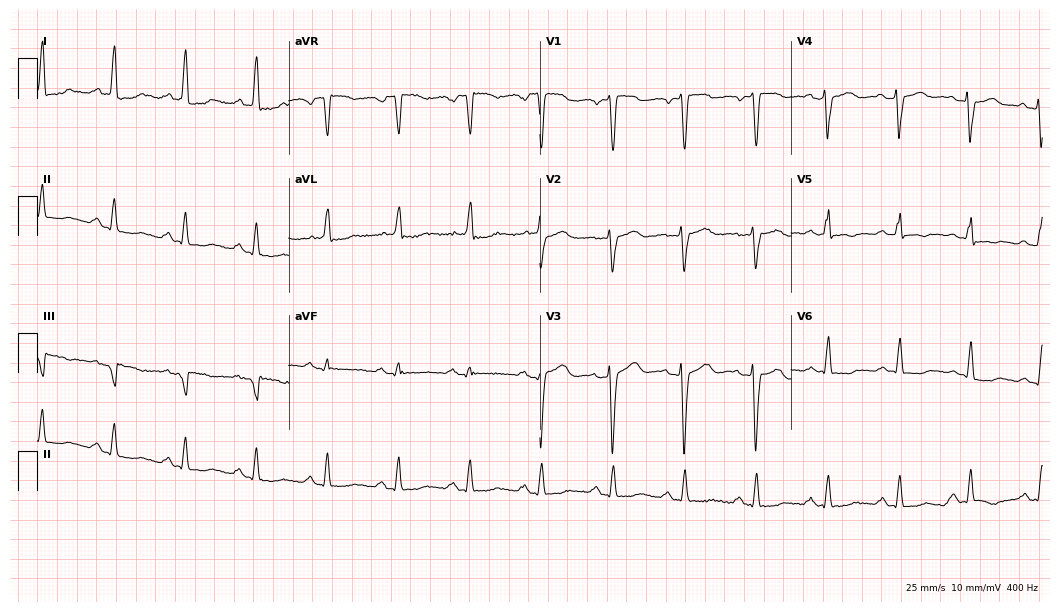
Electrocardiogram, a female, 77 years old. Of the six screened findings (first-degree AV block, right bundle branch block (RBBB), left bundle branch block (LBBB), sinus bradycardia, atrial fibrillation (AF), sinus tachycardia), none is recorded. Other findings, if any, are not listed.